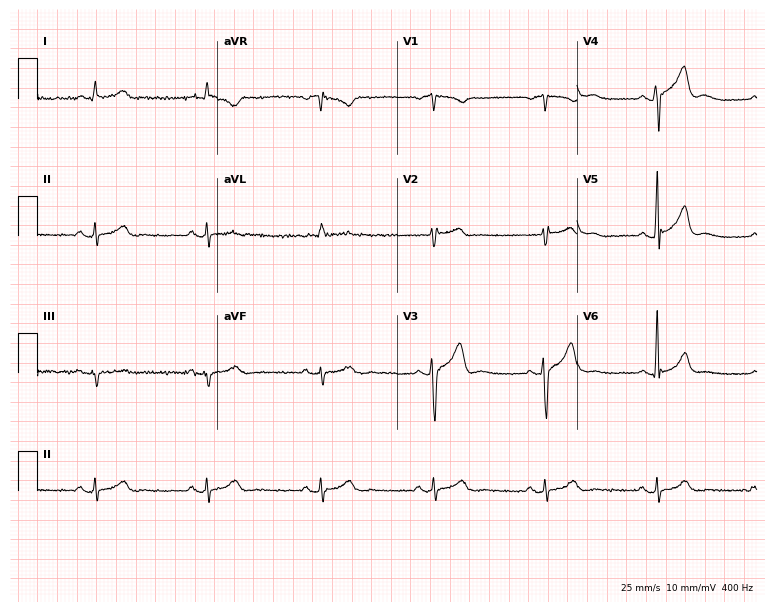
ECG — a male, 63 years old. Labelled as a normal ECG.